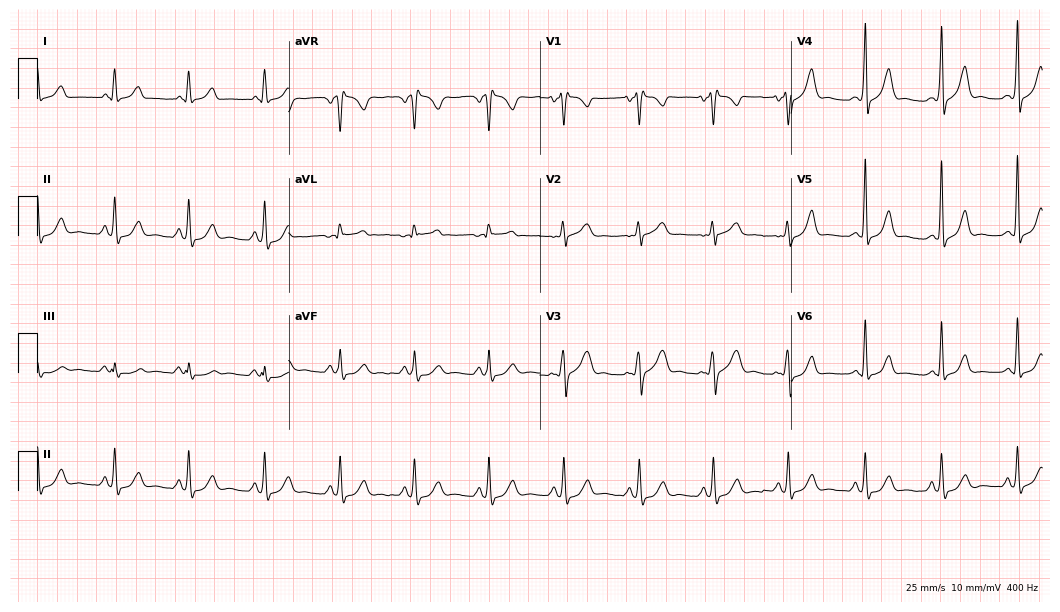
Electrocardiogram (10.2-second recording at 400 Hz), a 32-year-old woman. Of the six screened findings (first-degree AV block, right bundle branch block, left bundle branch block, sinus bradycardia, atrial fibrillation, sinus tachycardia), none is recorded.